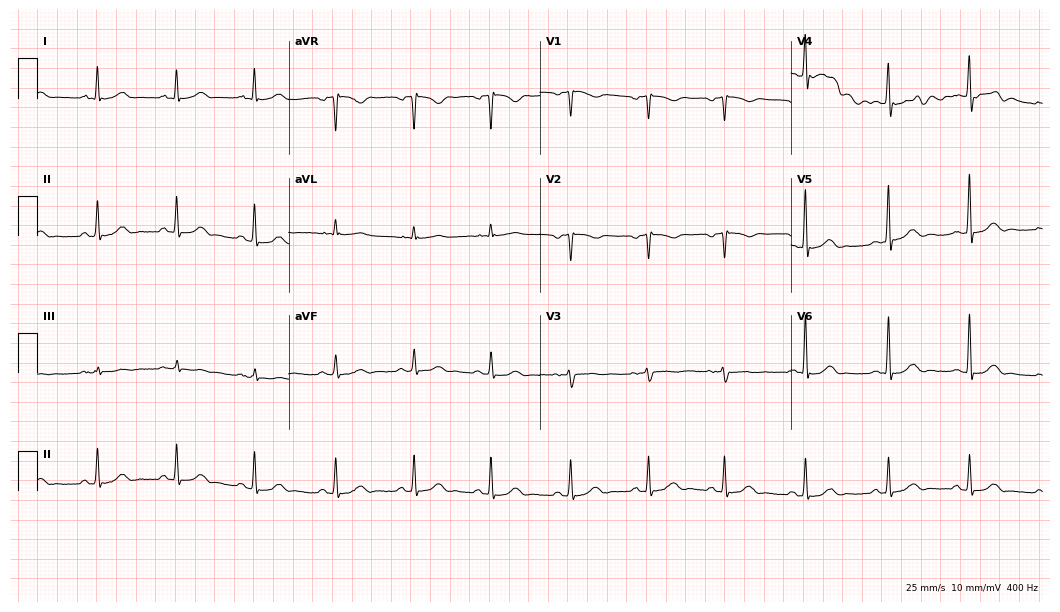
ECG — a 67-year-old man. Labelled as a normal ECG.